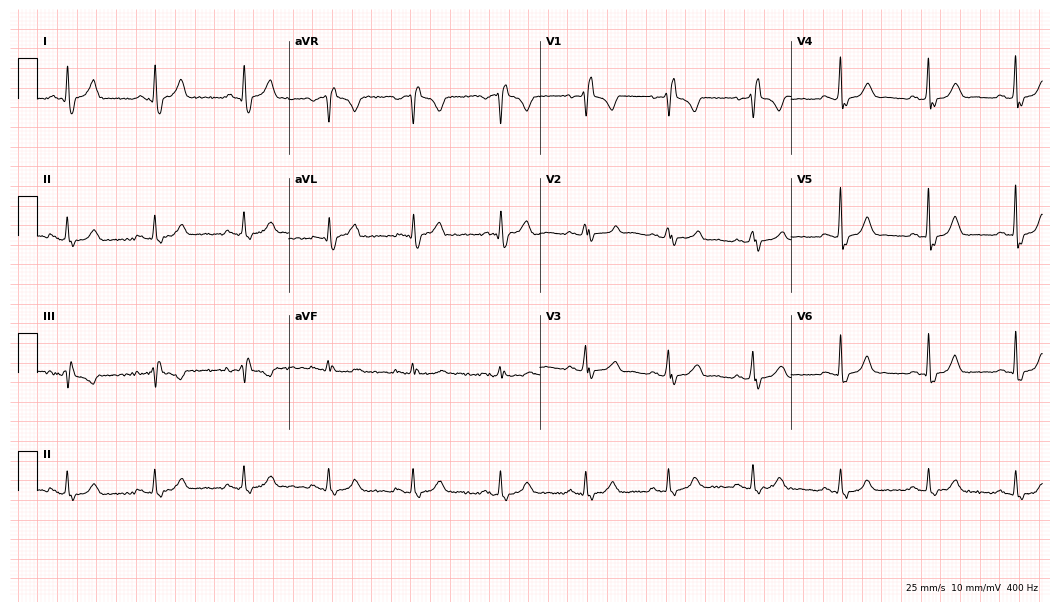
12-lead ECG from a 41-year-old female patient. Findings include right bundle branch block (RBBB).